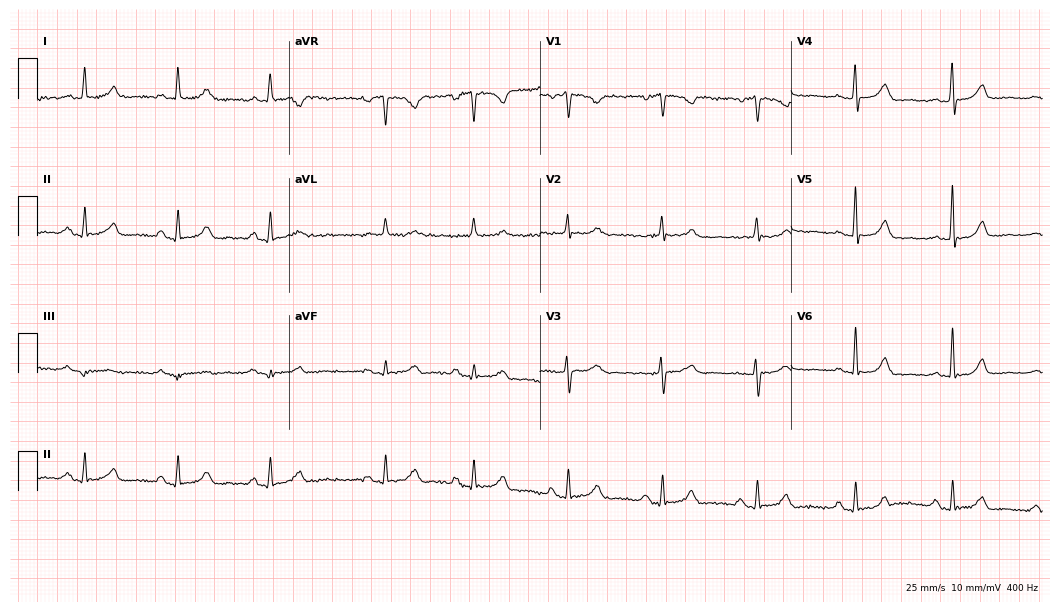
12-lead ECG from a female, 57 years old (10.2-second recording at 400 Hz). Recorded interpretation: within normal limits.